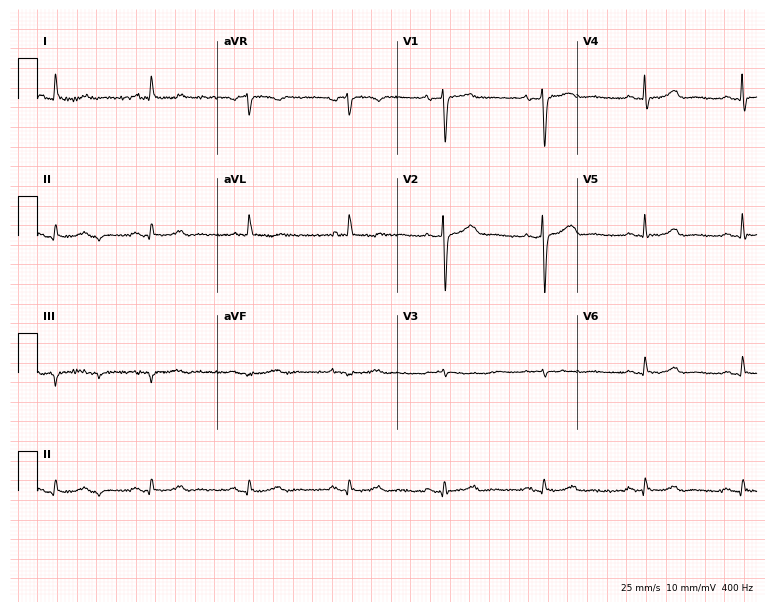
ECG (7.3-second recording at 400 Hz) — a female, 65 years old. Labelled as a normal ECG.